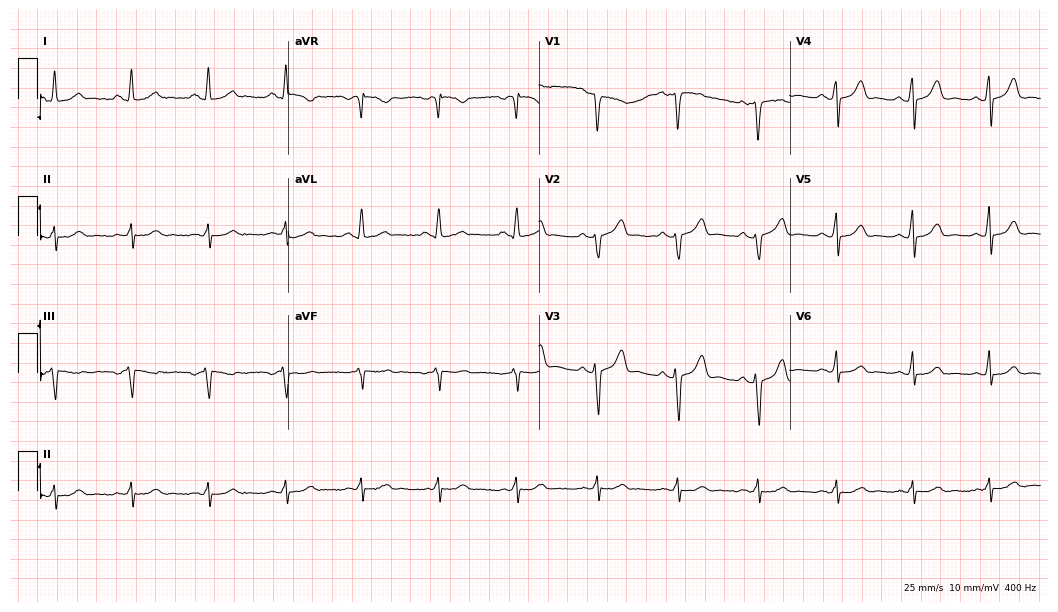
12-lead ECG from a 44-year-old female. Recorded interpretation: within normal limits.